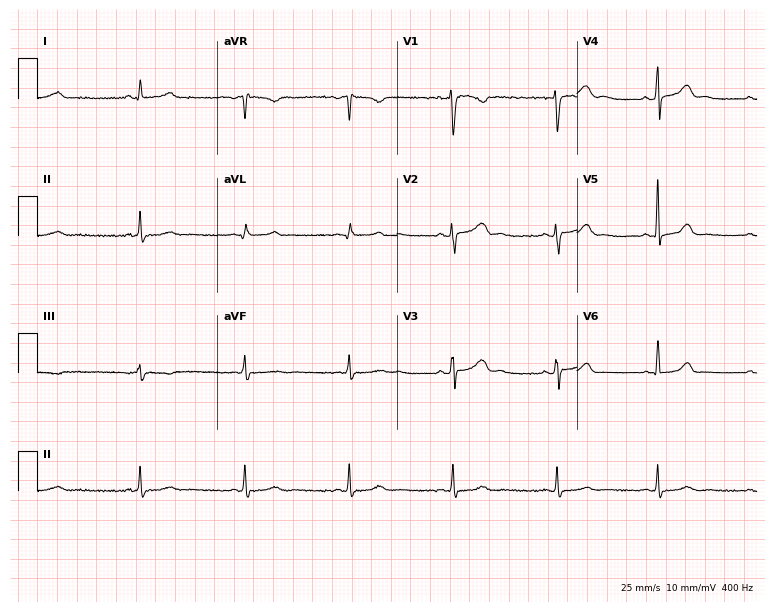
Standard 12-lead ECG recorded from a woman, 36 years old (7.3-second recording at 400 Hz). None of these six findings is recorded: first-degree AV block, right bundle branch block, left bundle branch block, sinus bradycardia, atrial fibrillation, sinus tachycardia.